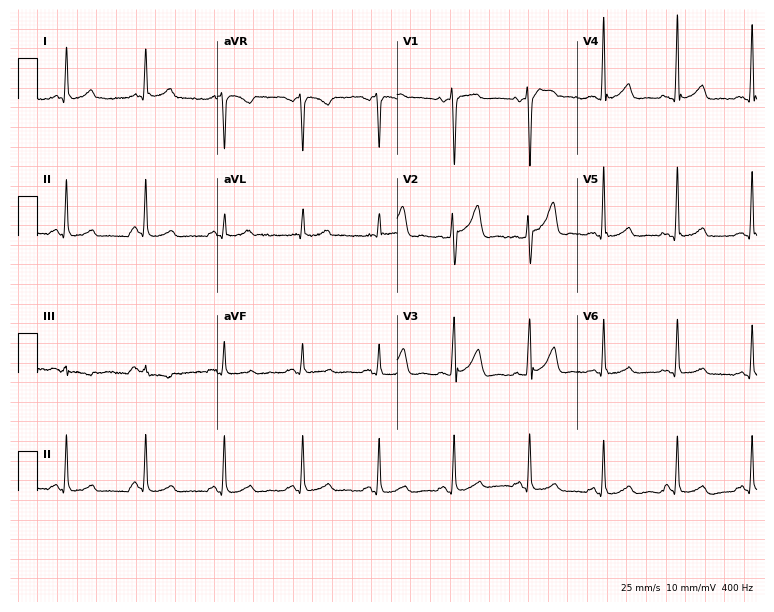
Standard 12-lead ECG recorded from a 46-year-old male patient (7.3-second recording at 400 Hz). Read as a normal ECG.